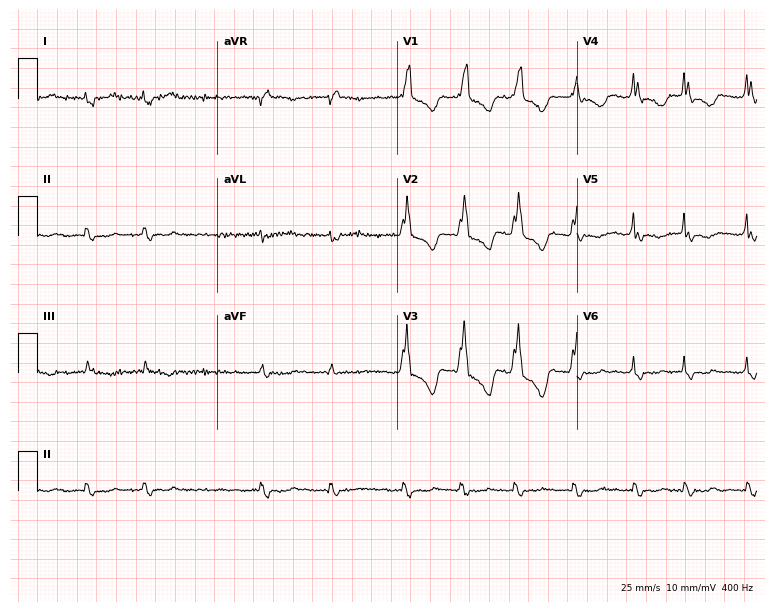
Standard 12-lead ECG recorded from a man, 66 years old. The tracing shows right bundle branch block, atrial fibrillation.